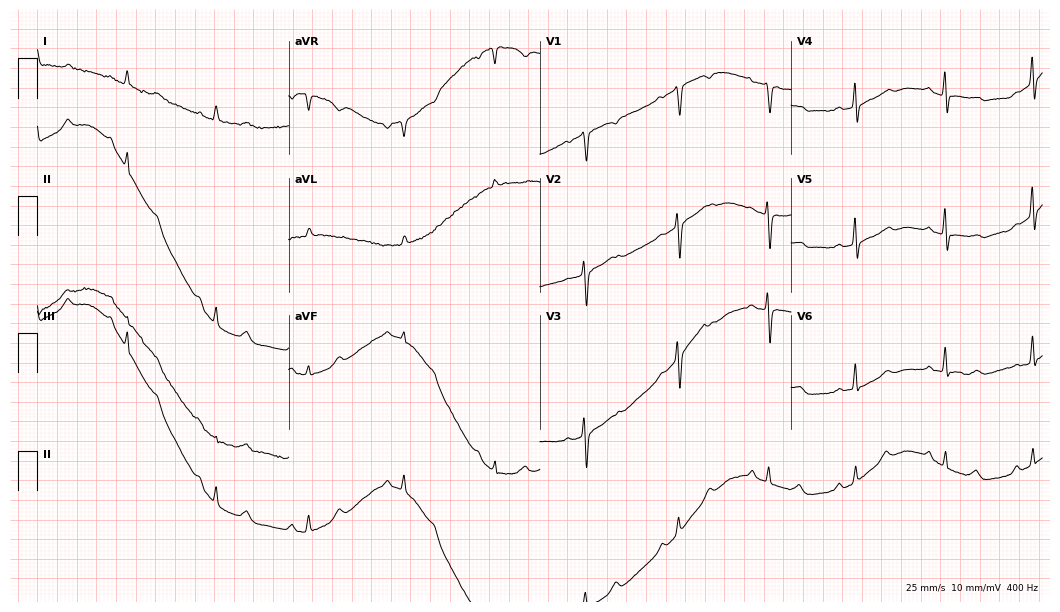
12-lead ECG (10.2-second recording at 400 Hz) from a female, 62 years old. Screened for six findings — first-degree AV block, right bundle branch block, left bundle branch block, sinus bradycardia, atrial fibrillation, sinus tachycardia — none is recorded.